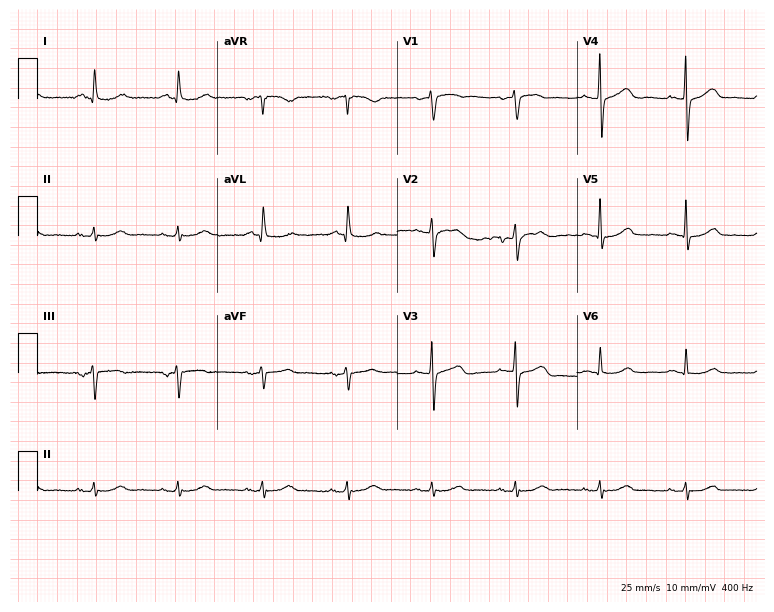
Standard 12-lead ECG recorded from a male, 77 years old. None of these six findings is recorded: first-degree AV block, right bundle branch block (RBBB), left bundle branch block (LBBB), sinus bradycardia, atrial fibrillation (AF), sinus tachycardia. Other findings, if any, are not listed.